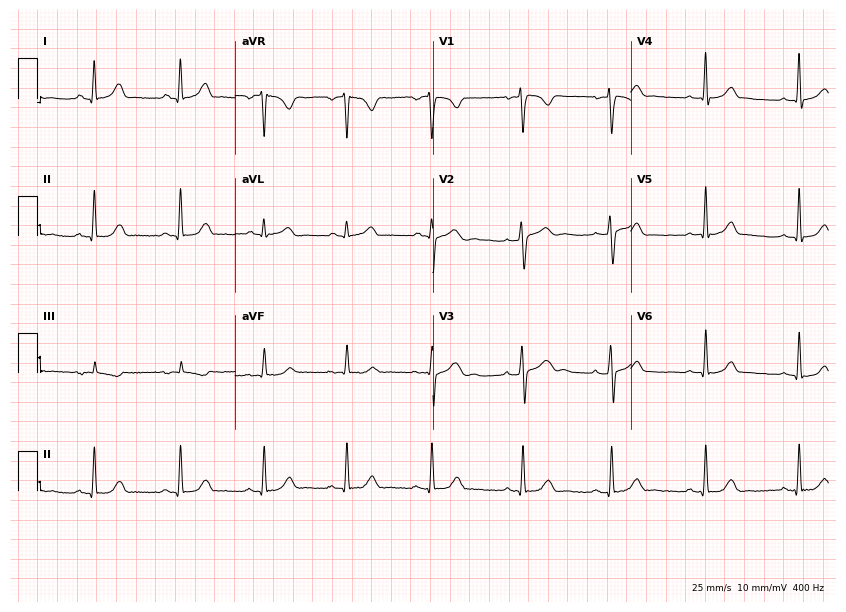
Resting 12-lead electrocardiogram (8.1-second recording at 400 Hz). Patient: a woman, 37 years old. None of these six findings is recorded: first-degree AV block, right bundle branch block, left bundle branch block, sinus bradycardia, atrial fibrillation, sinus tachycardia. Findings outside these six are not listed.